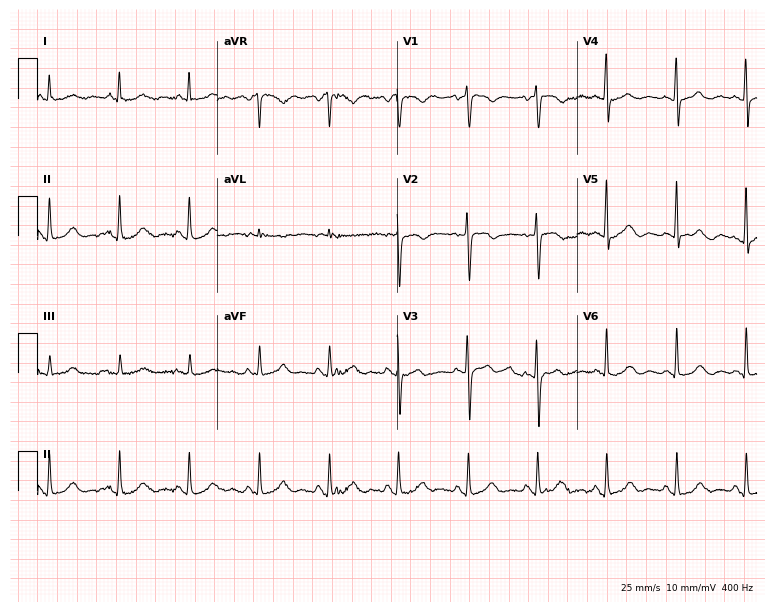
Standard 12-lead ECG recorded from a female, 66 years old (7.3-second recording at 400 Hz). Read as a normal ECG.